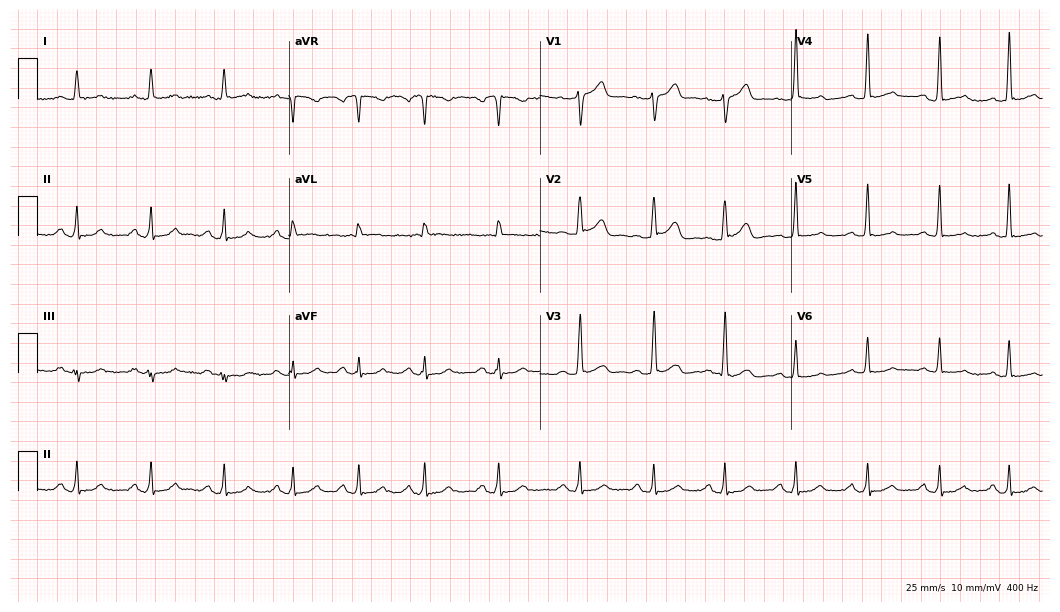
Resting 12-lead electrocardiogram (10.2-second recording at 400 Hz). Patient: a man, 63 years old. Read as a normal ECG.